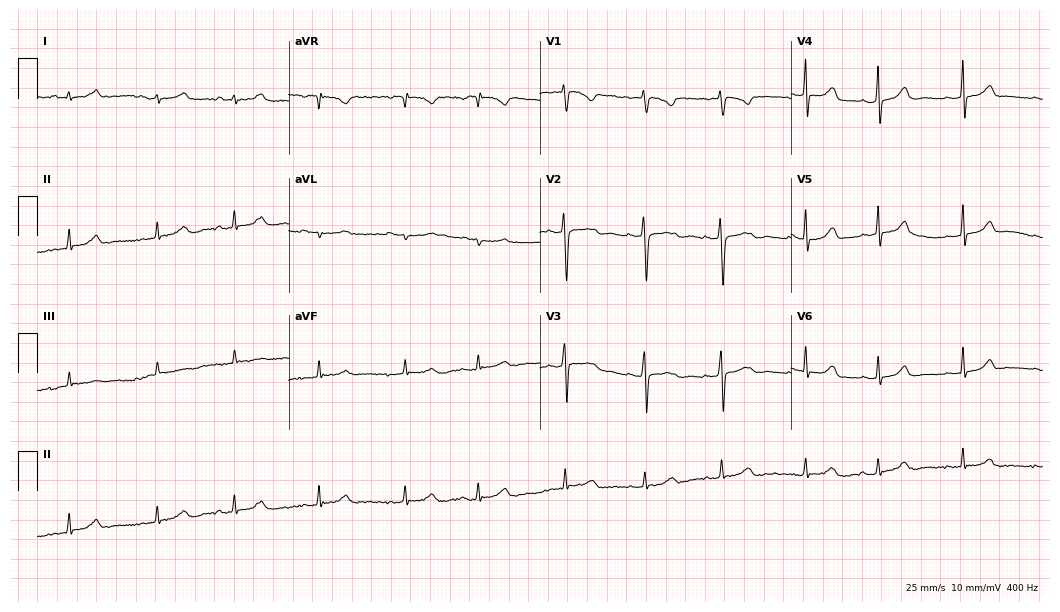
Electrocardiogram, a female patient, 18 years old. Overall reading on record: normal ECG.